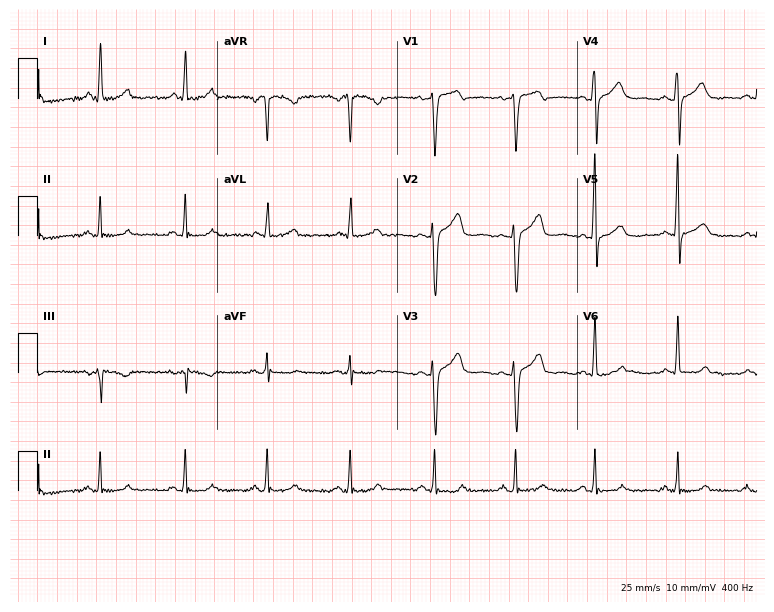
Standard 12-lead ECG recorded from a 54-year-old female. None of these six findings is recorded: first-degree AV block, right bundle branch block (RBBB), left bundle branch block (LBBB), sinus bradycardia, atrial fibrillation (AF), sinus tachycardia. Other findings, if any, are not listed.